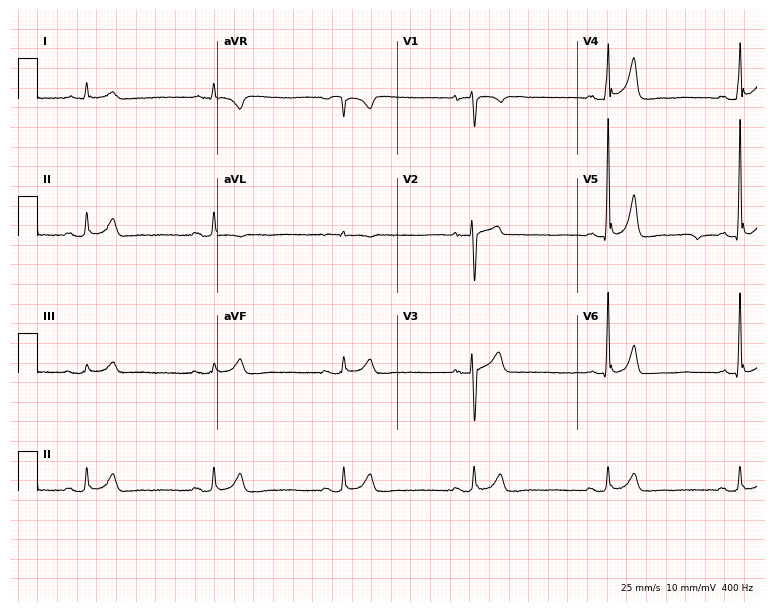
12-lead ECG (7.3-second recording at 400 Hz) from a man, 62 years old. Findings include sinus bradycardia (a sinus rate of 50 beats per minute or less).